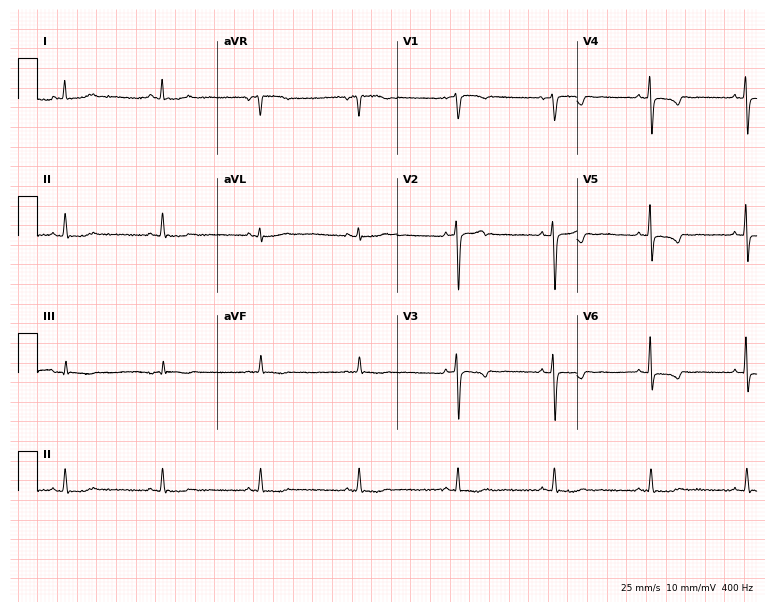
Standard 12-lead ECG recorded from a female, 55 years old. None of these six findings is recorded: first-degree AV block, right bundle branch block (RBBB), left bundle branch block (LBBB), sinus bradycardia, atrial fibrillation (AF), sinus tachycardia.